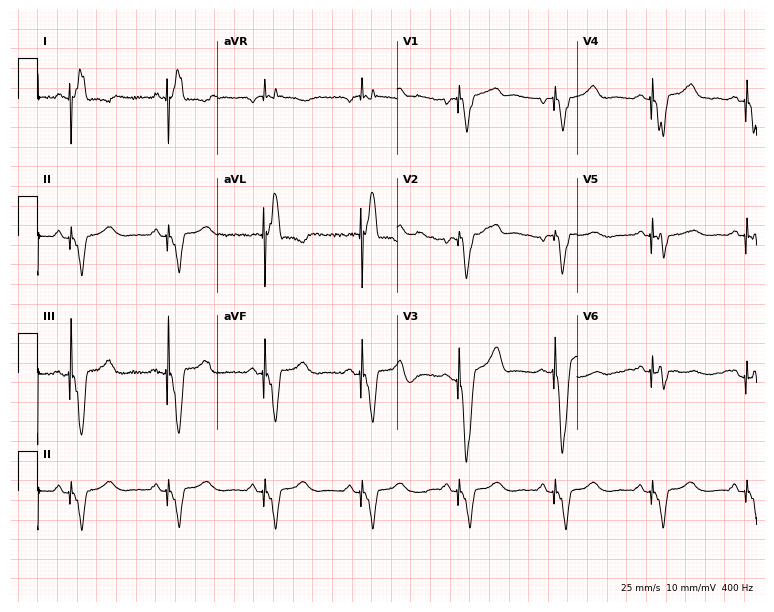
ECG — a female patient, 79 years old. Screened for six findings — first-degree AV block, right bundle branch block, left bundle branch block, sinus bradycardia, atrial fibrillation, sinus tachycardia — none is recorded.